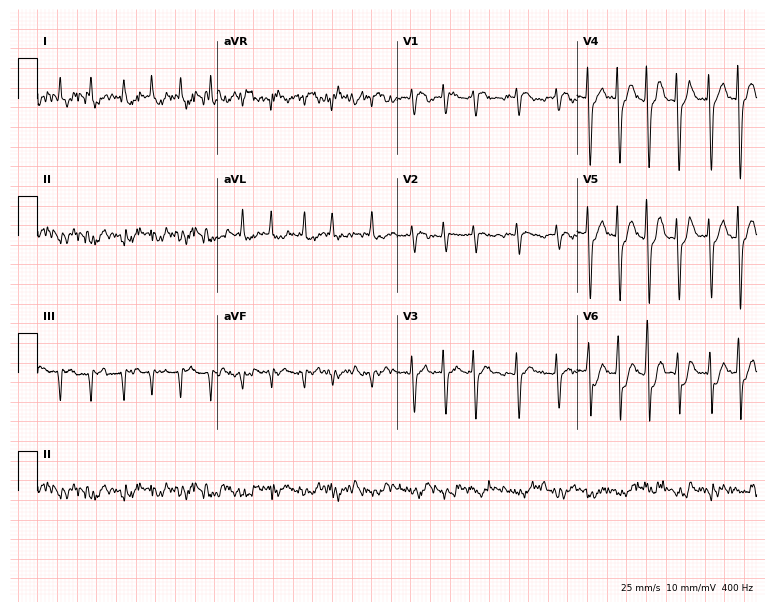
12-lead ECG from a 71-year-old man (7.3-second recording at 400 Hz). Shows atrial fibrillation (AF).